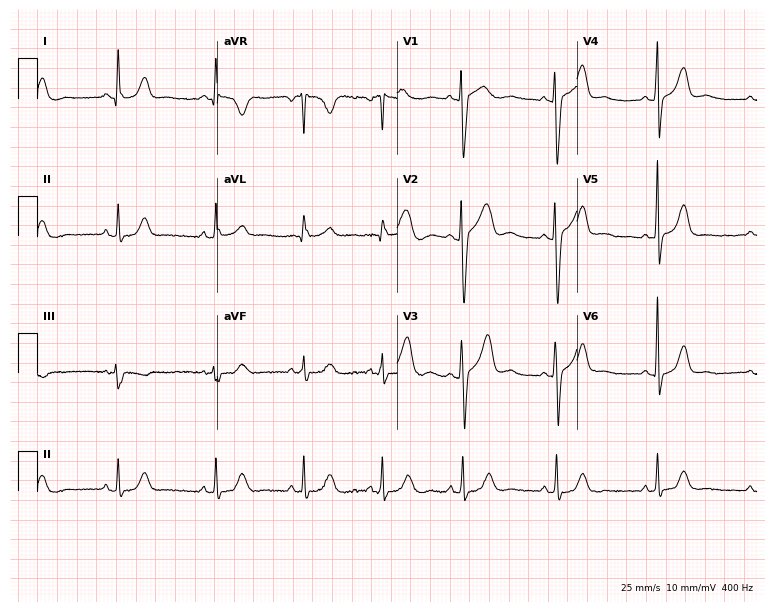
ECG — a female patient, 46 years old. Labelled as a normal ECG.